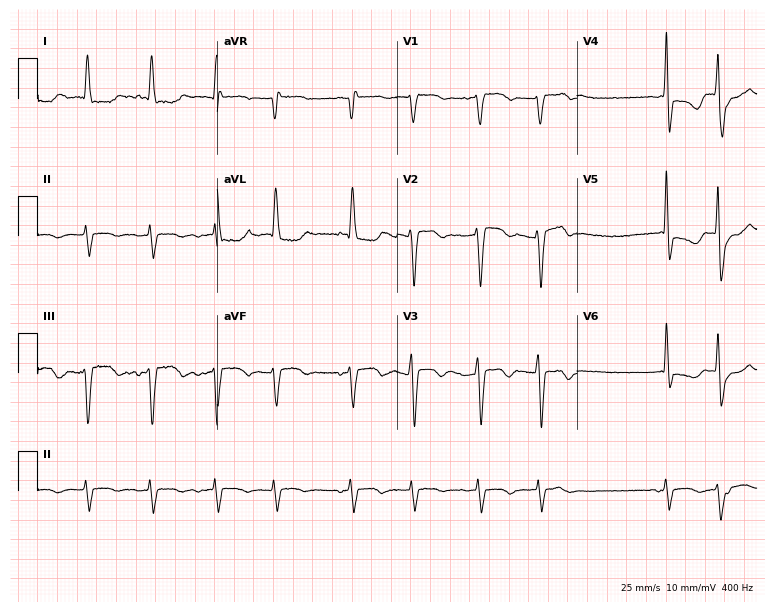
ECG — a man, 82 years old. Findings include atrial fibrillation (AF).